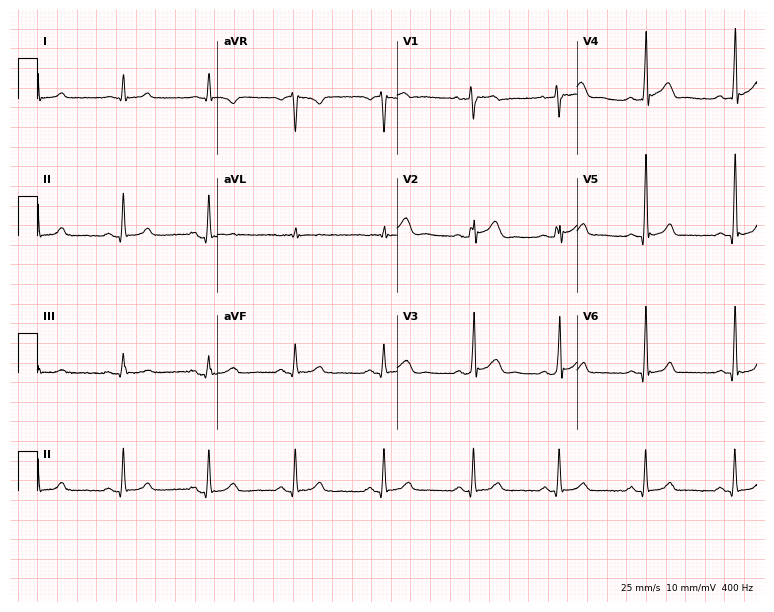
ECG (7.3-second recording at 400 Hz) — a male, 48 years old. Labelled as a normal ECG.